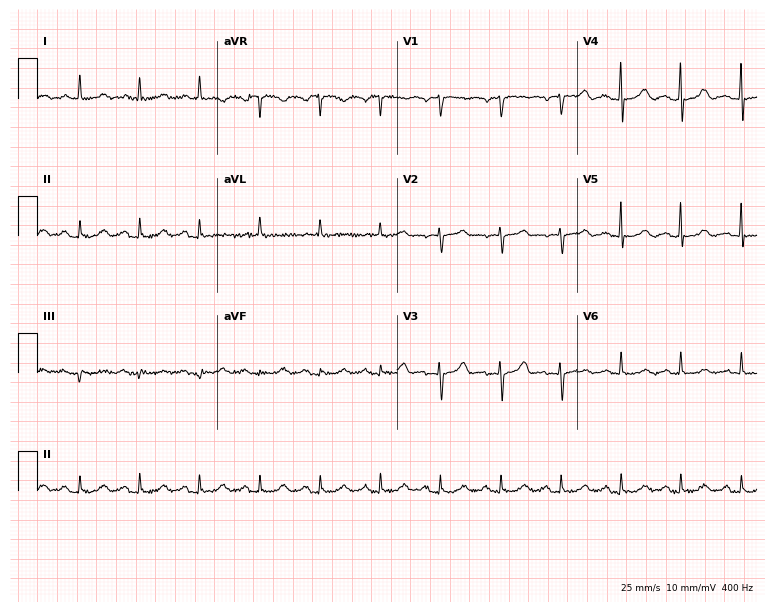
Standard 12-lead ECG recorded from a 79-year-old woman (7.3-second recording at 400 Hz). None of these six findings is recorded: first-degree AV block, right bundle branch block (RBBB), left bundle branch block (LBBB), sinus bradycardia, atrial fibrillation (AF), sinus tachycardia. Only these six findings were labelled.